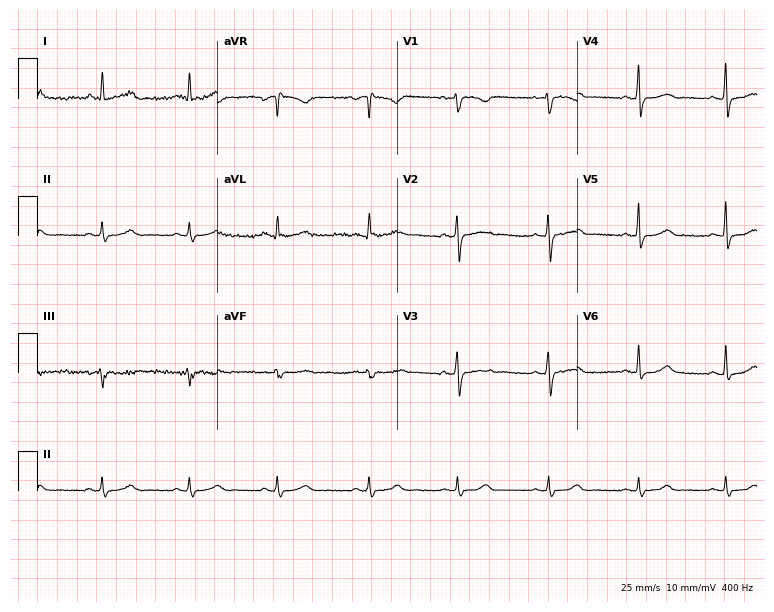
12-lead ECG from a female, 46 years old (7.3-second recording at 400 Hz). Recorded interpretation: within normal limits.